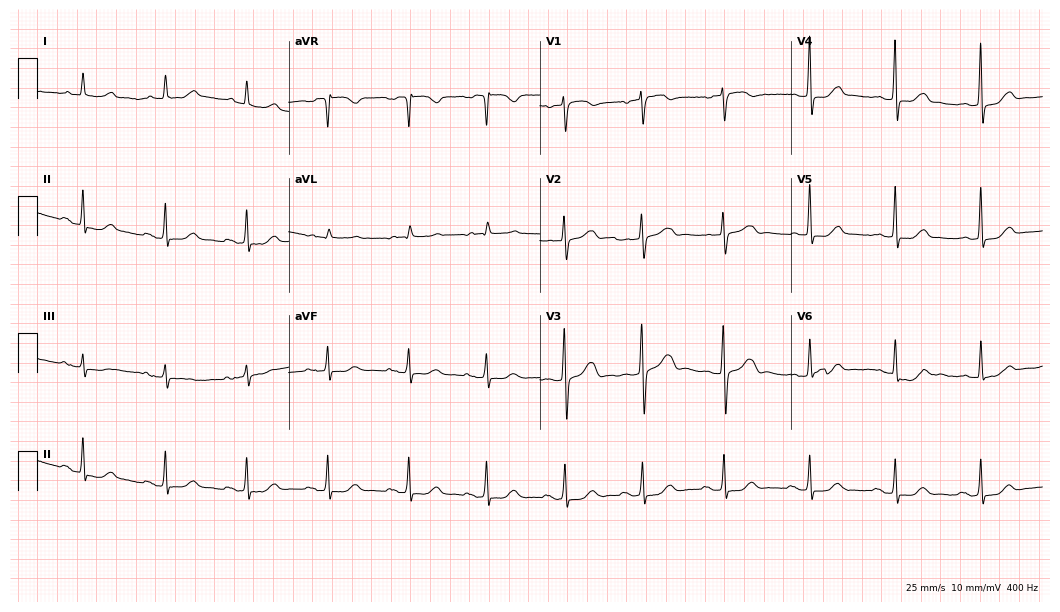
12-lead ECG from a female patient, 74 years old (10.2-second recording at 400 Hz). No first-degree AV block, right bundle branch block (RBBB), left bundle branch block (LBBB), sinus bradycardia, atrial fibrillation (AF) or sinus tachycardia recorded for this tracing. Only these six findings were labelled.